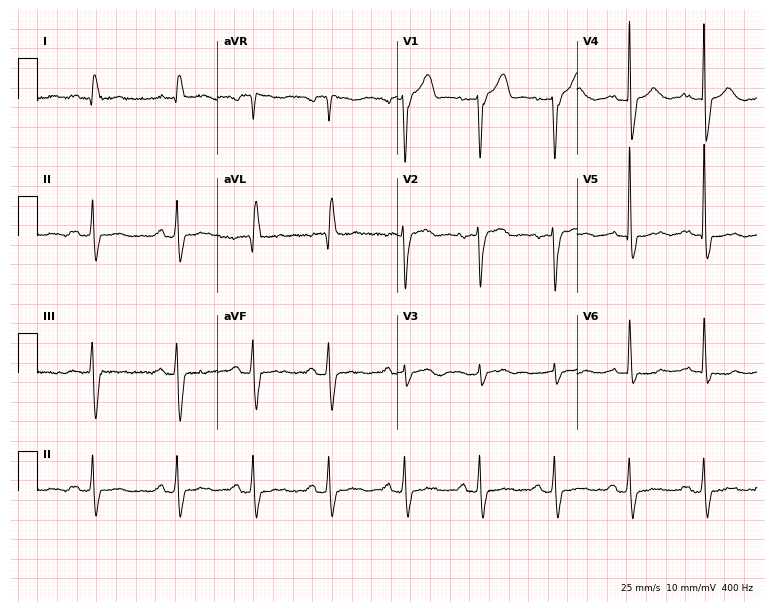
ECG (7.3-second recording at 400 Hz) — an 80-year-old man. Screened for six findings — first-degree AV block, right bundle branch block, left bundle branch block, sinus bradycardia, atrial fibrillation, sinus tachycardia — none is recorded. Other findings, if any, are not listed.